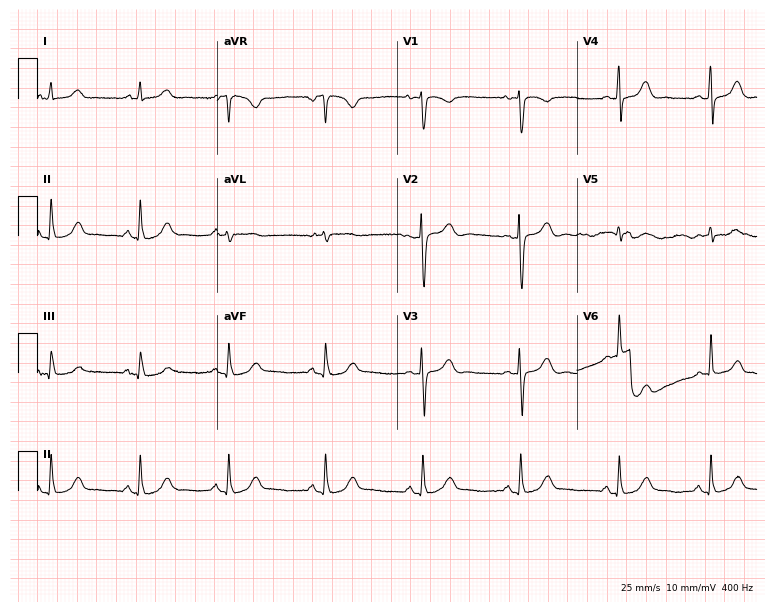
Standard 12-lead ECG recorded from a female, 30 years old. Read as a normal ECG.